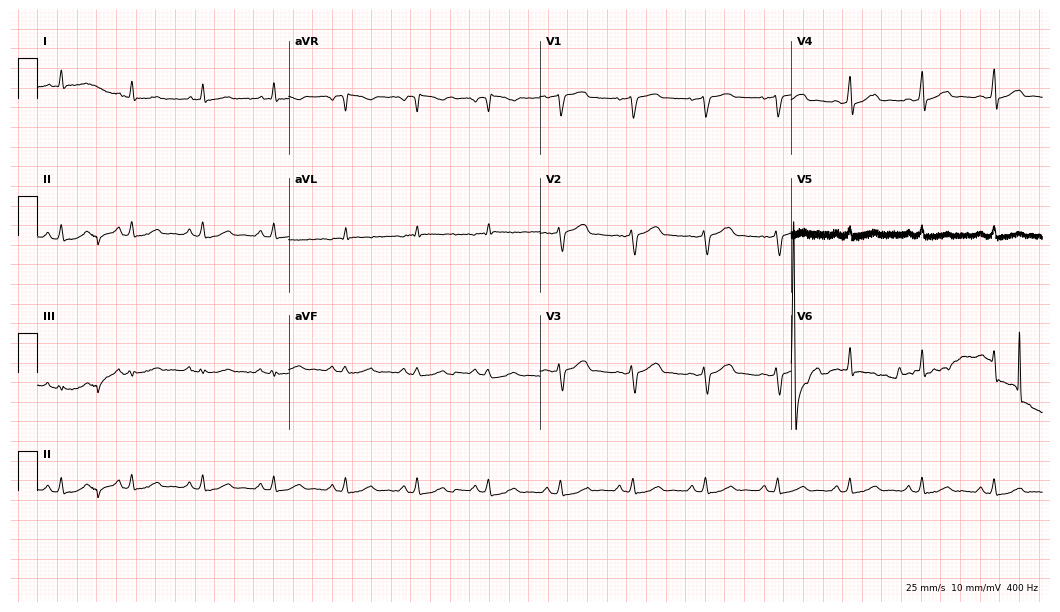
ECG (10.2-second recording at 400 Hz) — a man, 71 years old. Screened for six findings — first-degree AV block, right bundle branch block, left bundle branch block, sinus bradycardia, atrial fibrillation, sinus tachycardia — none is recorded. Only these six findings were labelled.